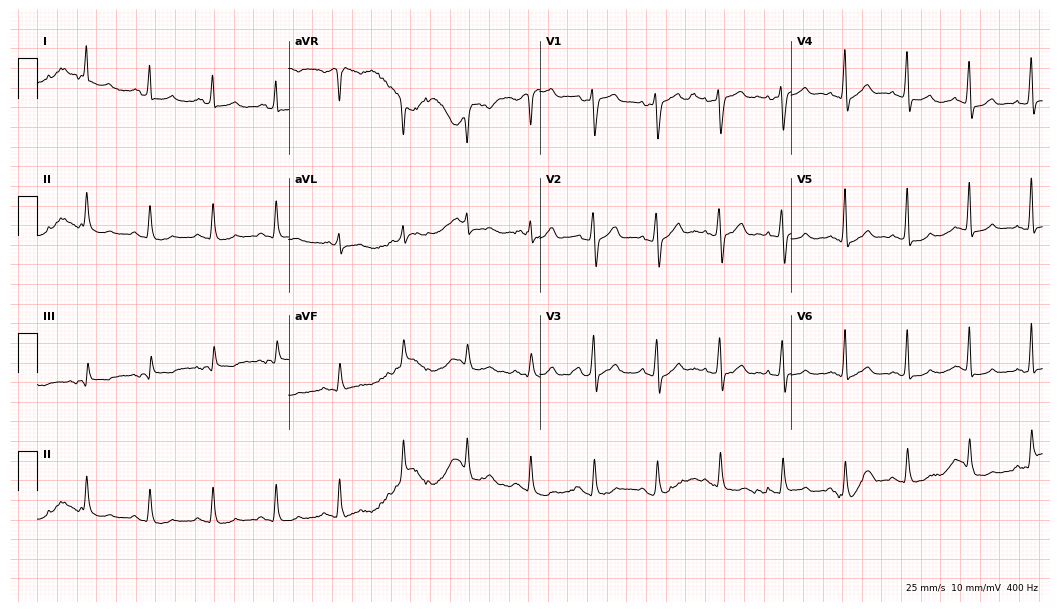
Electrocardiogram (10.2-second recording at 400 Hz), a 55-year-old male patient. Overall reading on record: normal ECG.